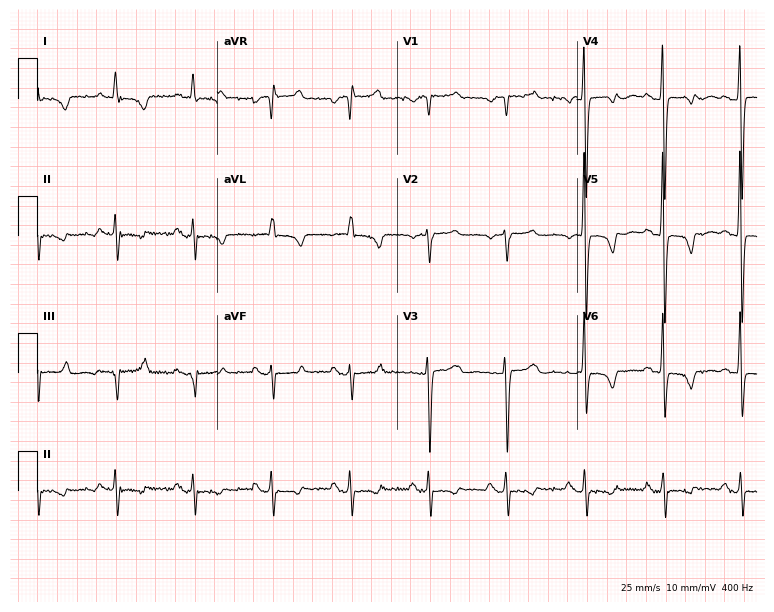
Electrocardiogram (7.3-second recording at 400 Hz), a 76-year-old male patient. Of the six screened findings (first-degree AV block, right bundle branch block (RBBB), left bundle branch block (LBBB), sinus bradycardia, atrial fibrillation (AF), sinus tachycardia), none is recorded.